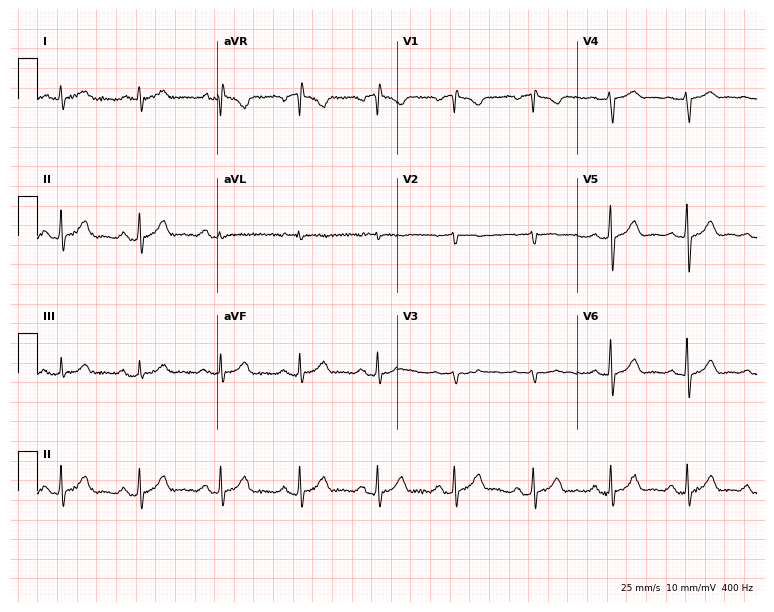
ECG (7.3-second recording at 400 Hz) — a 66-year-old woman. Screened for six findings — first-degree AV block, right bundle branch block, left bundle branch block, sinus bradycardia, atrial fibrillation, sinus tachycardia — none is recorded.